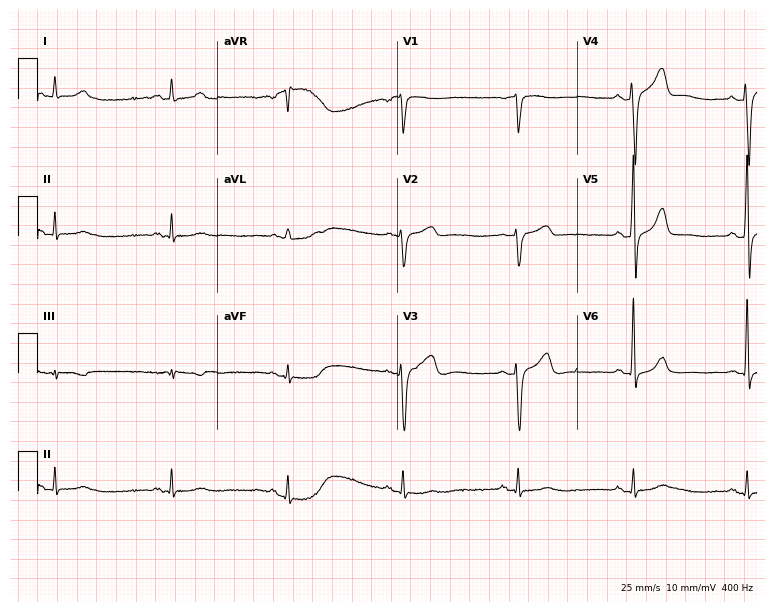
Resting 12-lead electrocardiogram. Patient: a male, 57 years old. None of these six findings is recorded: first-degree AV block, right bundle branch block, left bundle branch block, sinus bradycardia, atrial fibrillation, sinus tachycardia.